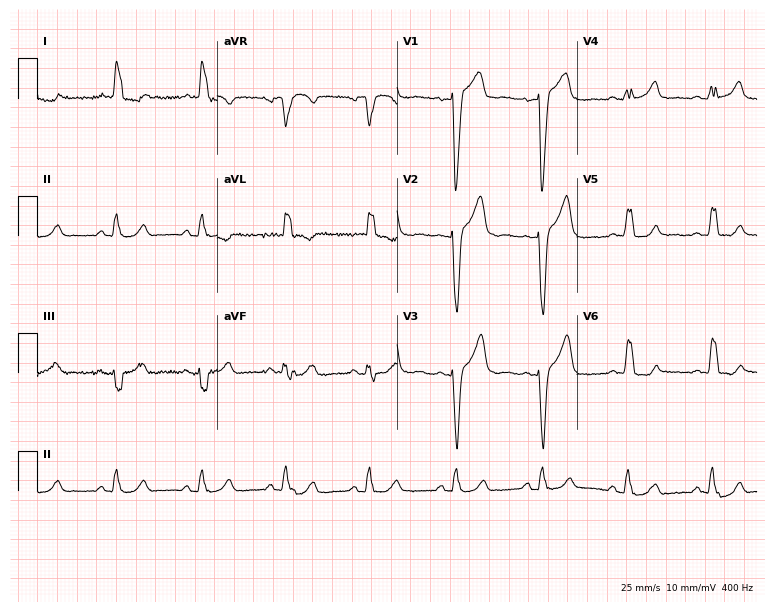
Standard 12-lead ECG recorded from a 60-year-old woman. The tracing shows left bundle branch block.